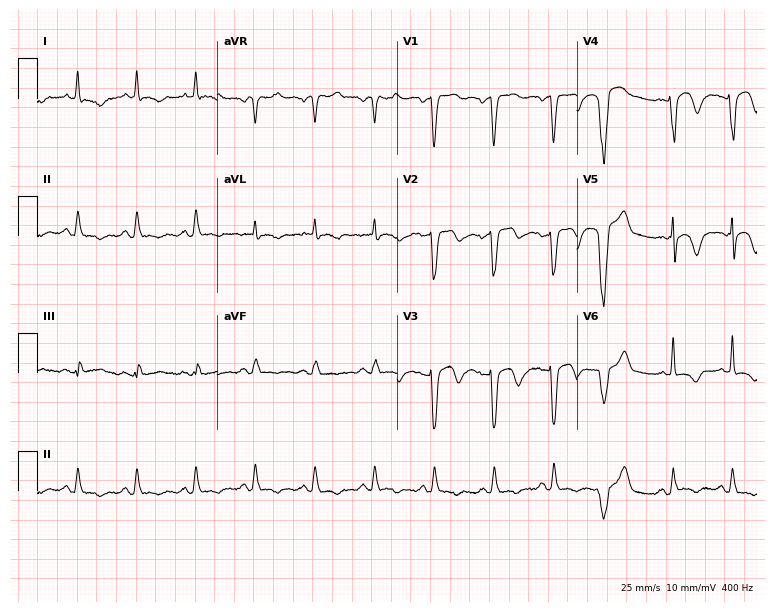
Standard 12-lead ECG recorded from a 66-year-old male patient. None of these six findings is recorded: first-degree AV block, right bundle branch block, left bundle branch block, sinus bradycardia, atrial fibrillation, sinus tachycardia. Other findings, if any, are not listed.